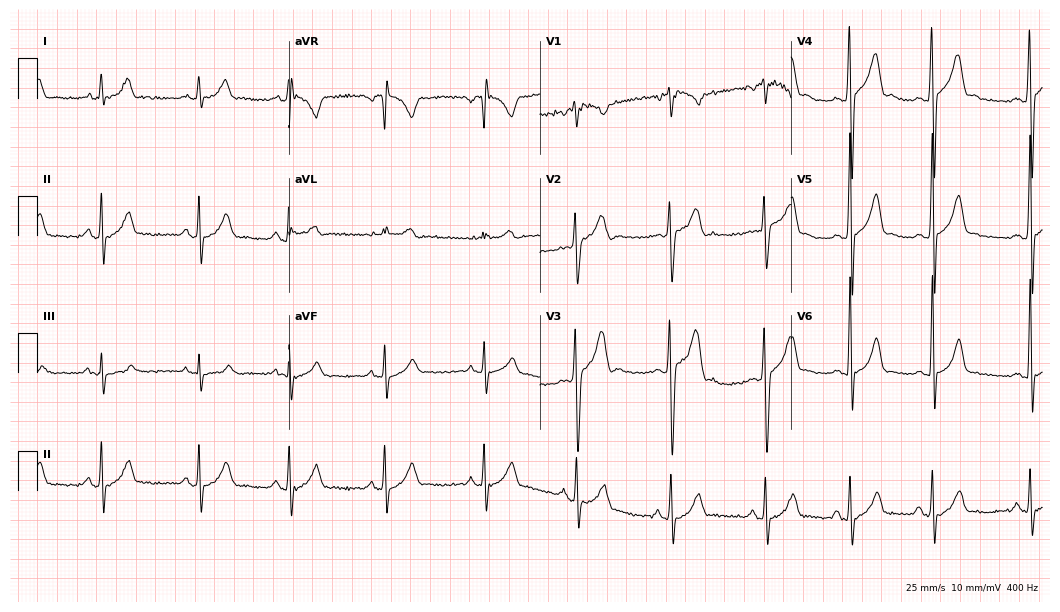
12-lead ECG from a 20-year-old male. Labelled as a normal ECG.